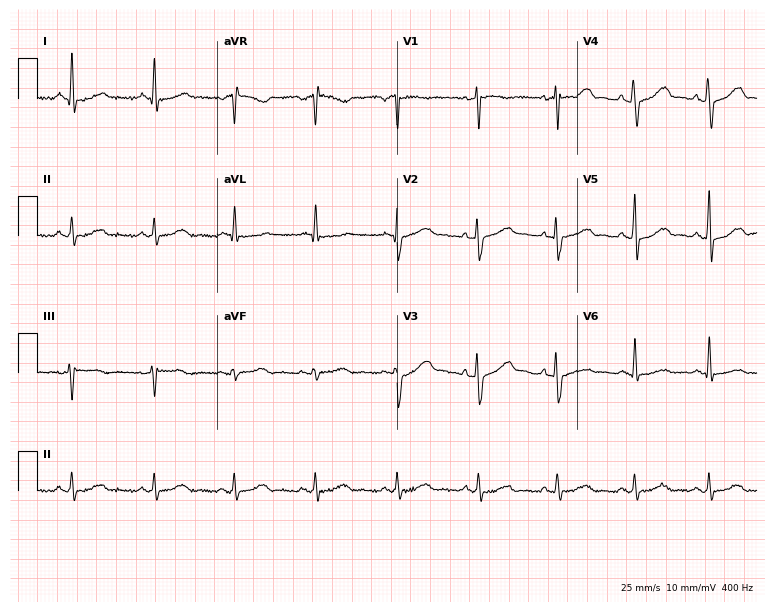
12-lead ECG (7.3-second recording at 400 Hz) from an 18-year-old woman. Labelled as a normal ECG.